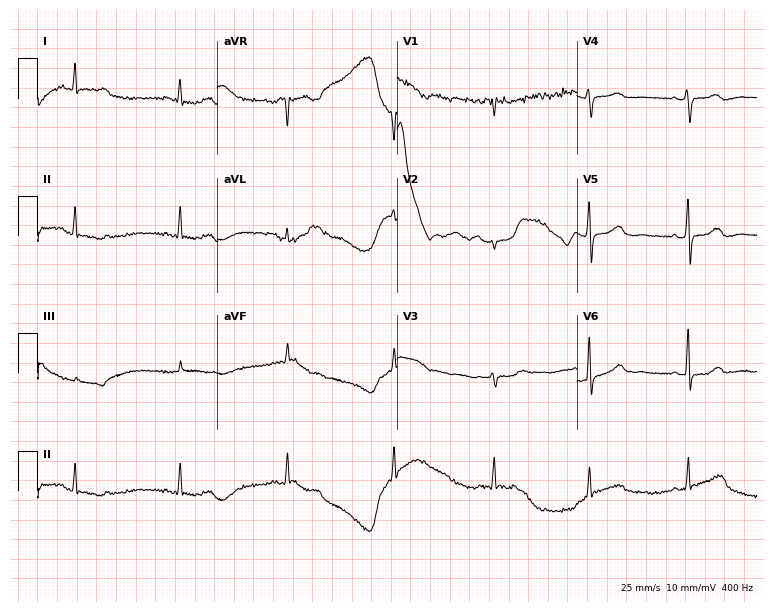
Electrocardiogram, a 57-year-old woman. Of the six screened findings (first-degree AV block, right bundle branch block (RBBB), left bundle branch block (LBBB), sinus bradycardia, atrial fibrillation (AF), sinus tachycardia), none is recorded. Only these six findings were labelled.